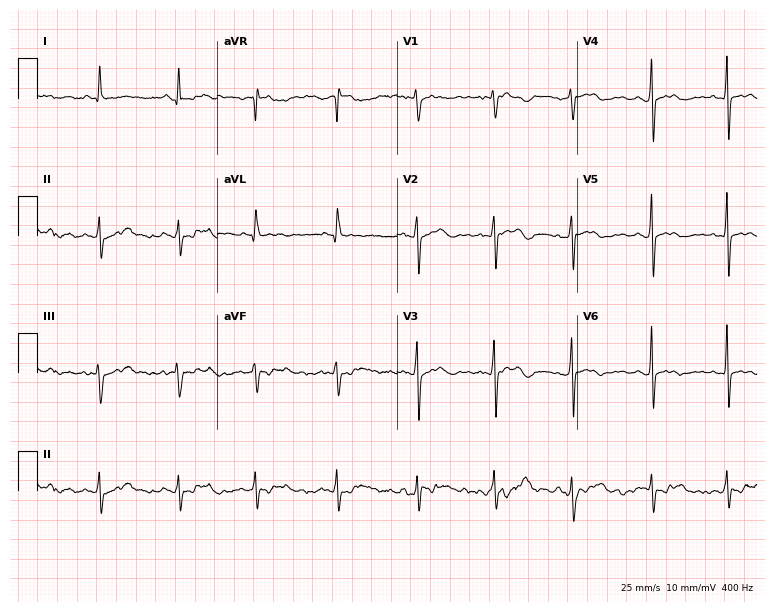
Electrocardiogram, a 59-year-old woman. Of the six screened findings (first-degree AV block, right bundle branch block, left bundle branch block, sinus bradycardia, atrial fibrillation, sinus tachycardia), none is recorded. Only these six findings were labelled.